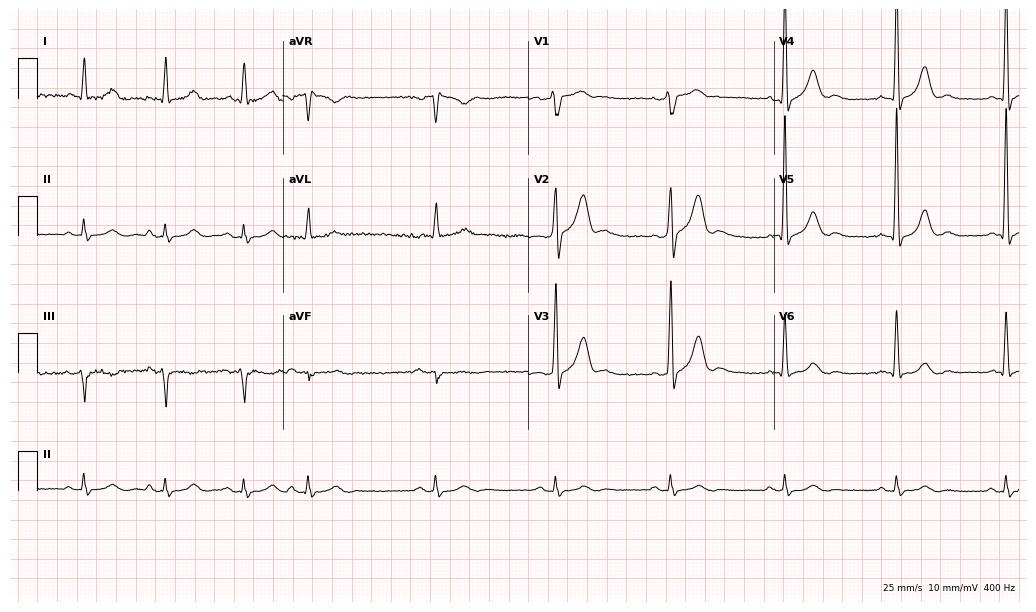
12-lead ECG (10-second recording at 400 Hz) from a man, 72 years old. Screened for six findings — first-degree AV block, right bundle branch block, left bundle branch block, sinus bradycardia, atrial fibrillation, sinus tachycardia — none is recorded. Other findings, if any, are not listed.